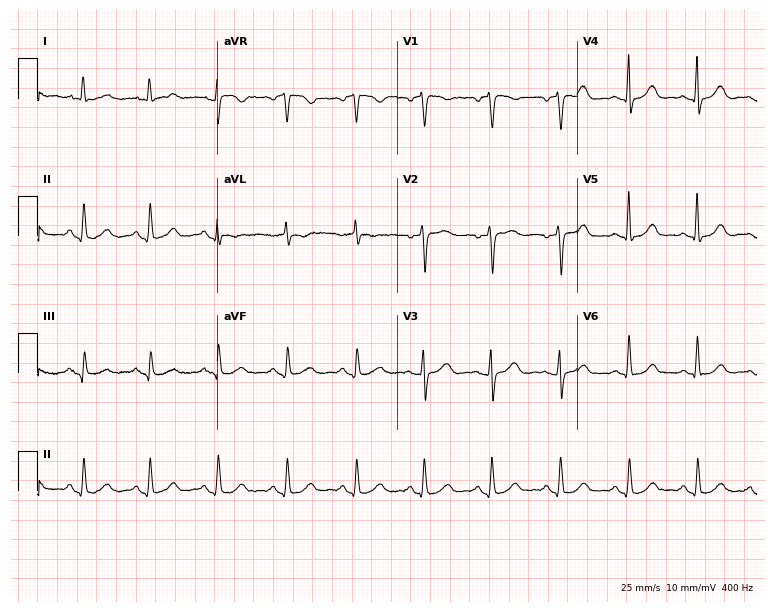
Standard 12-lead ECG recorded from a 64-year-old woman. Read as a normal ECG.